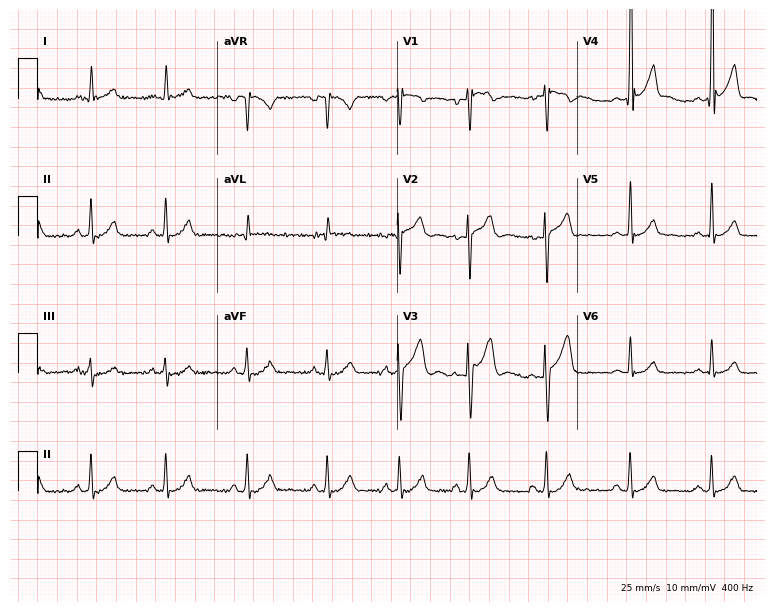
12-lead ECG (7.3-second recording at 400 Hz) from a 24-year-old male patient. Screened for six findings — first-degree AV block, right bundle branch block, left bundle branch block, sinus bradycardia, atrial fibrillation, sinus tachycardia — none is recorded.